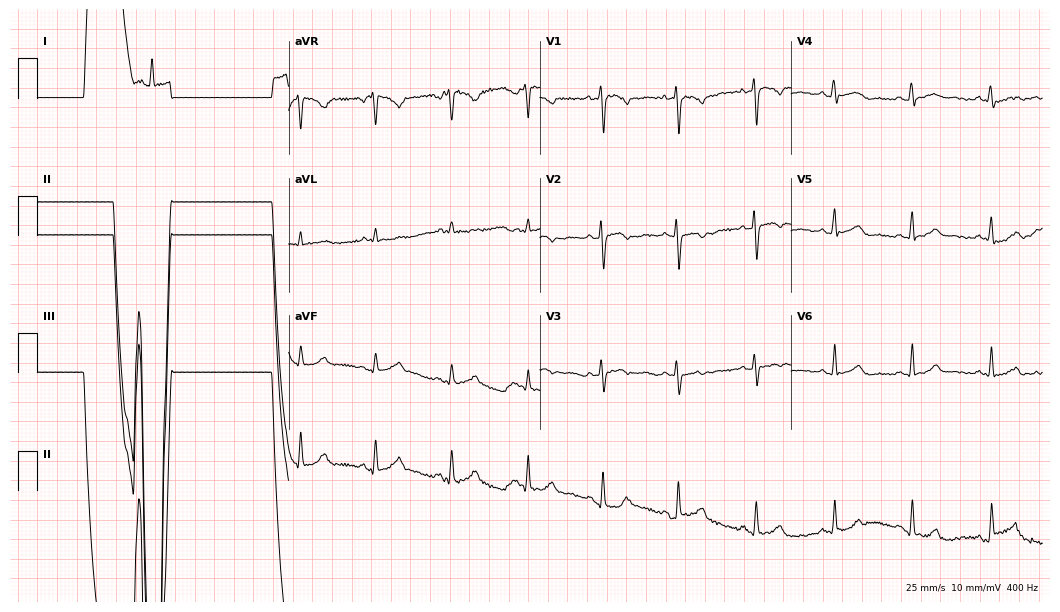
12-lead ECG from a 32-year-old female patient. Screened for six findings — first-degree AV block, right bundle branch block (RBBB), left bundle branch block (LBBB), sinus bradycardia, atrial fibrillation (AF), sinus tachycardia — none is recorded.